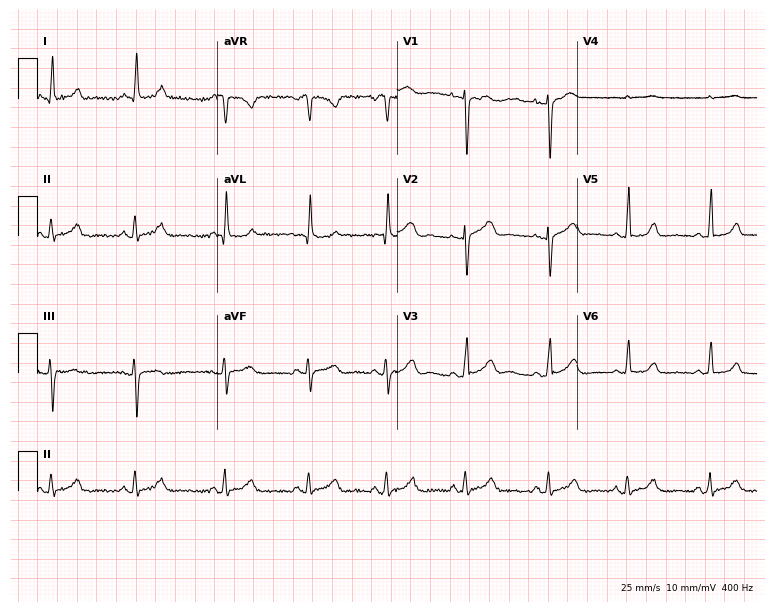
Resting 12-lead electrocardiogram. Patient: a 40-year-old female. None of these six findings is recorded: first-degree AV block, right bundle branch block, left bundle branch block, sinus bradycardia, atrial fibrillation, sinus tachycardia.